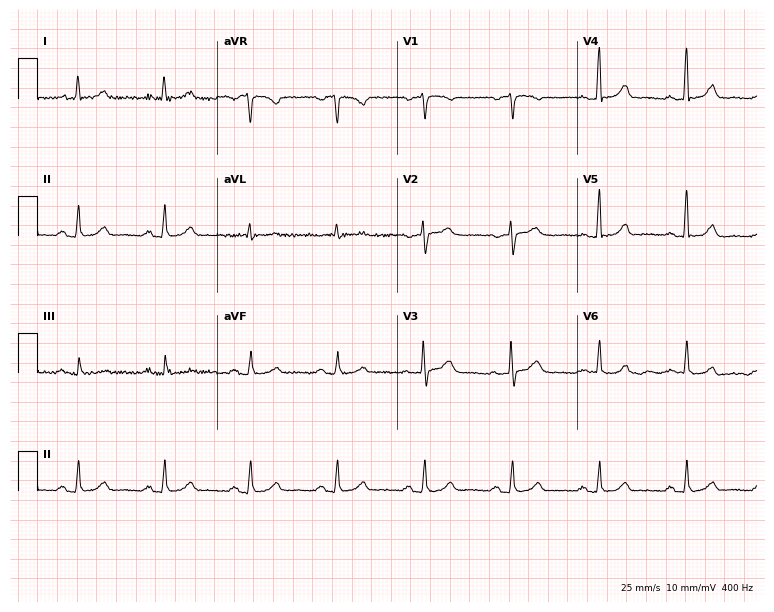
ECG (7.3-second recording at 400 Hz) — a female, 63 years old. Labelled as a normal ECG.